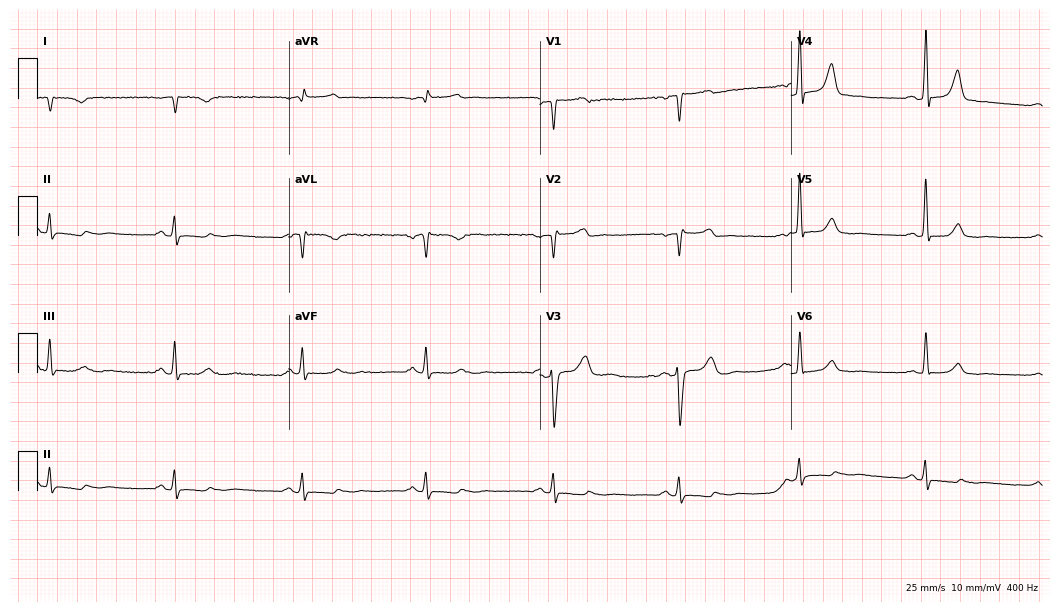
ECG (10.2-second recording at 400 Hz) — a male, 54 years old. Screened for six findings — first-degree AV block, right bundle branch block, left bundle branch block, sinus bradycardia, atrial fibrillation, sinus tachycardia — none is recorded.